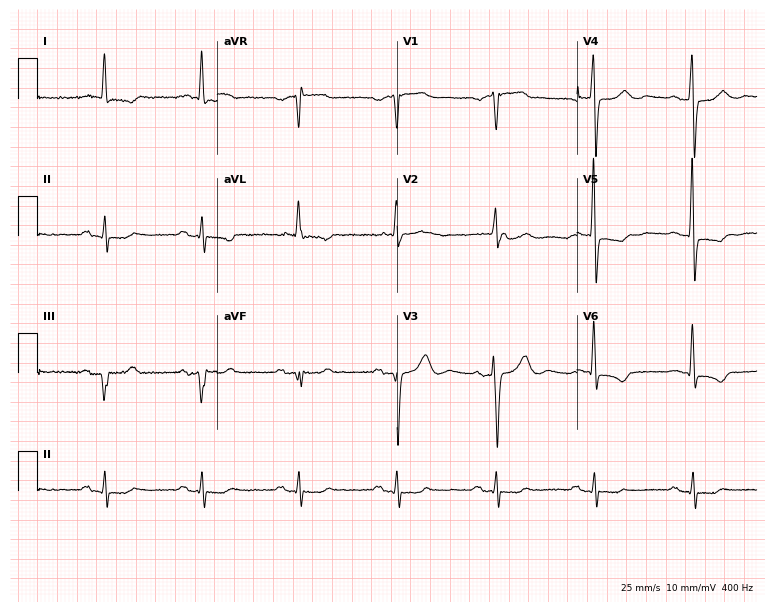
Standard 12-lead ECG recorded from a 77-year-old male. The tracing shows first-degree AV block.